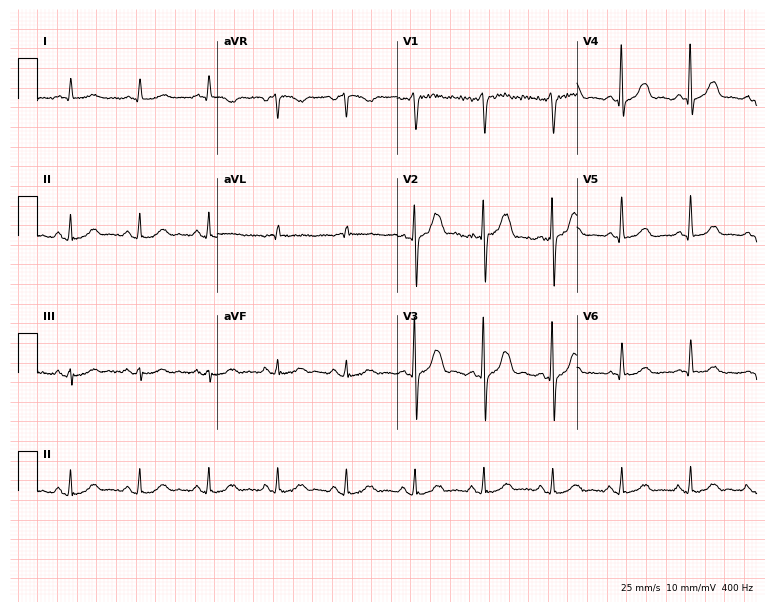
Standard 12-lead ECG recorded from a 79-year-old male (7.3-second recording at 400 Hz). Read as a normal ECG.